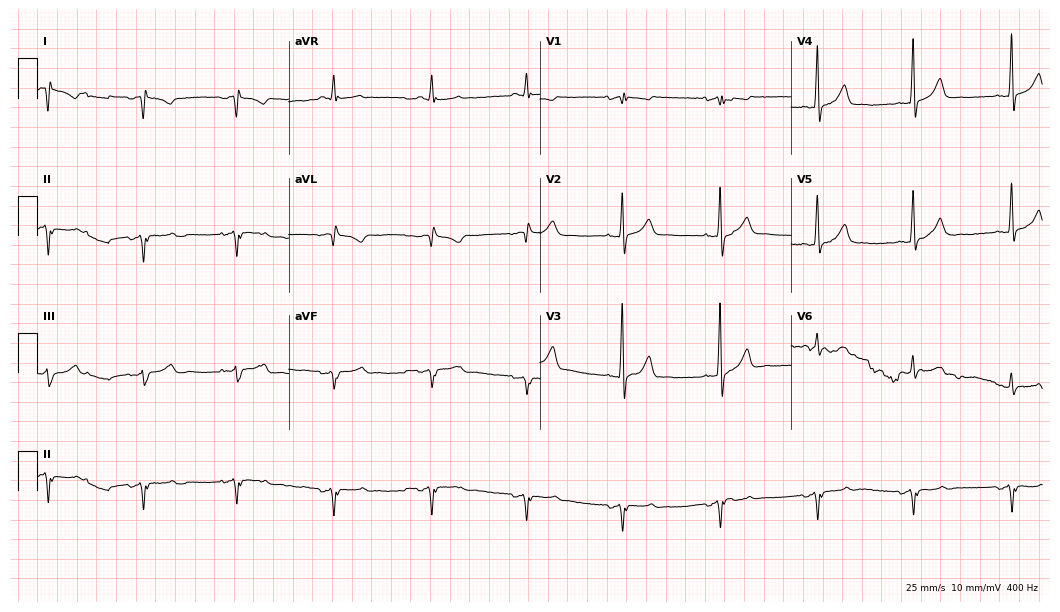
12-lead ECG (10.2-second recording at 400 Hz) from a male patient, 54 years old. Screened for six findings — first-degree AV block, right bundle branch block (RBBB), left bundle branch block (LBBB), sinus bradycardia, atrial fibrillation (AF), sinus tachycardia — none is recorded.